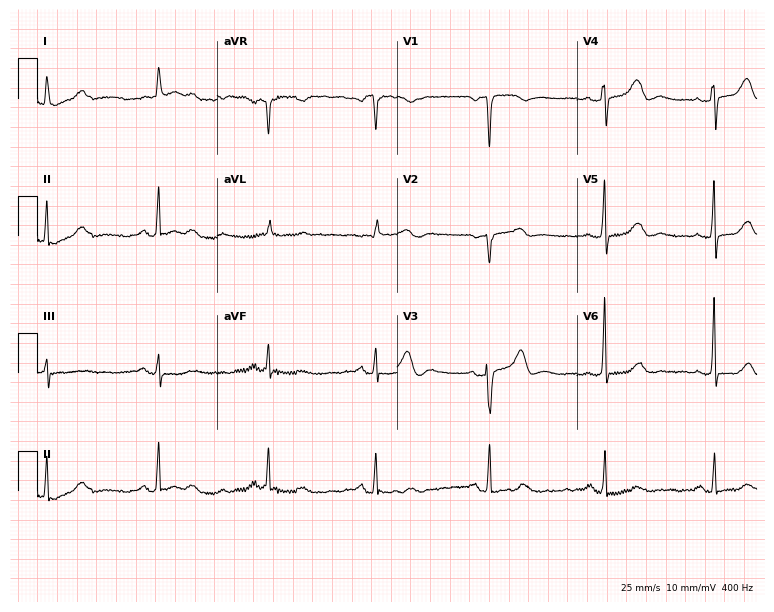
ECG (7.3-second recording at 400 Hz) — a 71-year-old female. Labelled as a normal ECG.